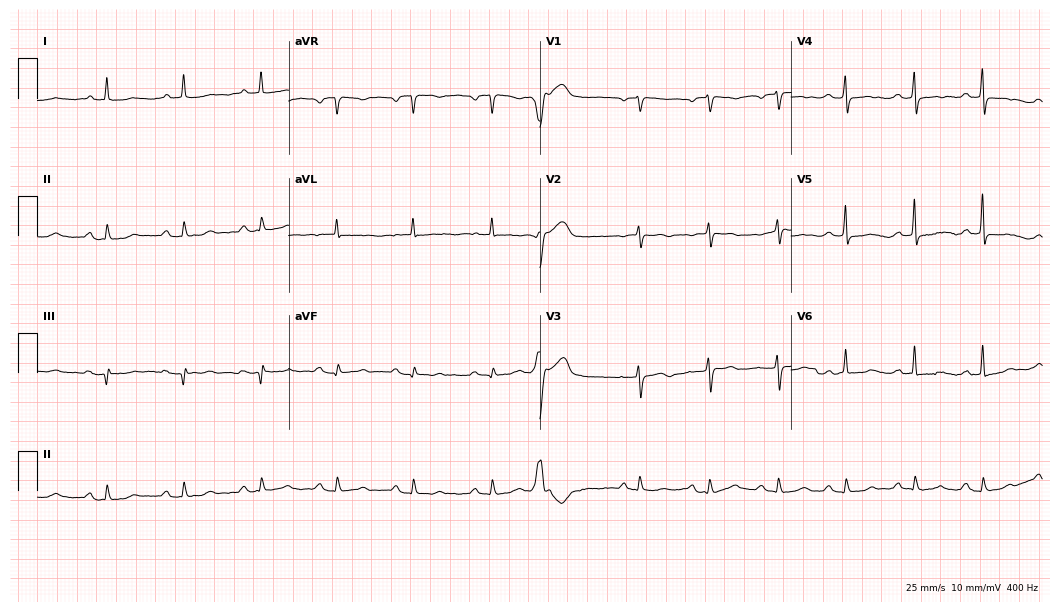
Resting 12-lead electrocardiogram. Patient: a 72-year-old woman. None of these six findings is recorded: first-degree AV block, right bundle branch block, left bundle branch block, sinus bradycardia, atrial fibrillation, sinus tachycardia. Other findings, if any, are not listed.